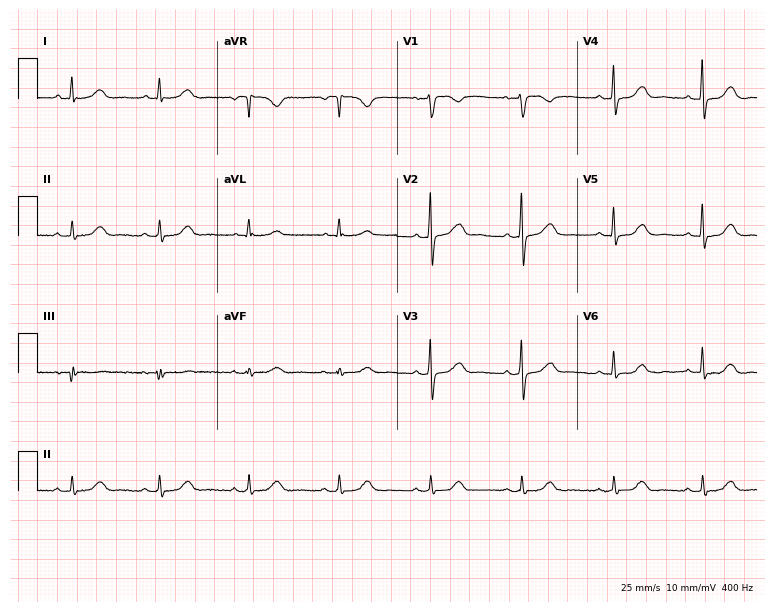
Electrocardiogram (7.3-second recording at 400 Hz), a female, 66 years old. Overall reading on record: normal ECG.